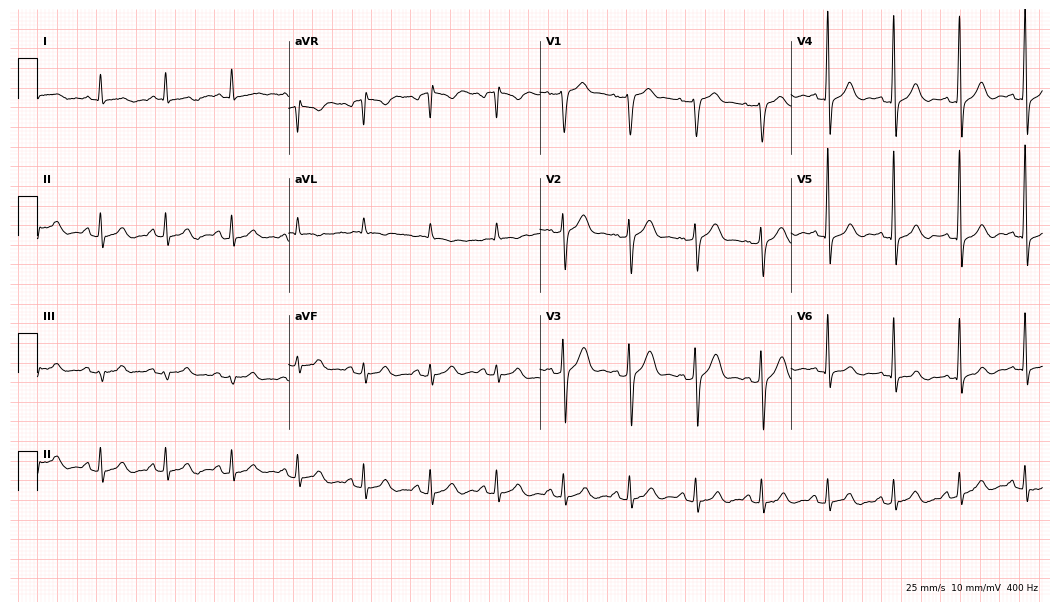
Standard 12-lead ECG recorded from a male patient, 57 years old (10.2-second recording at 400 Hz). Read as a normal ECG.